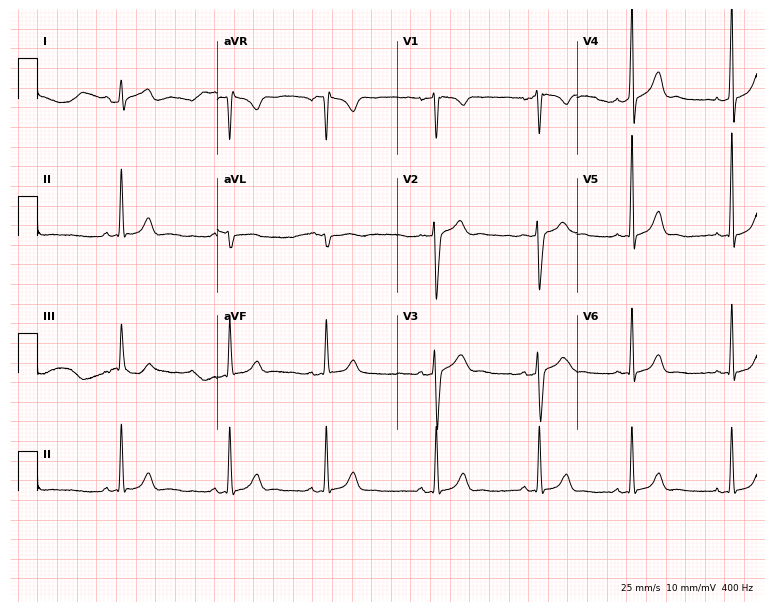
12-lead ECG from a man, 22 years old. Recorded interpretation: within normal limits.